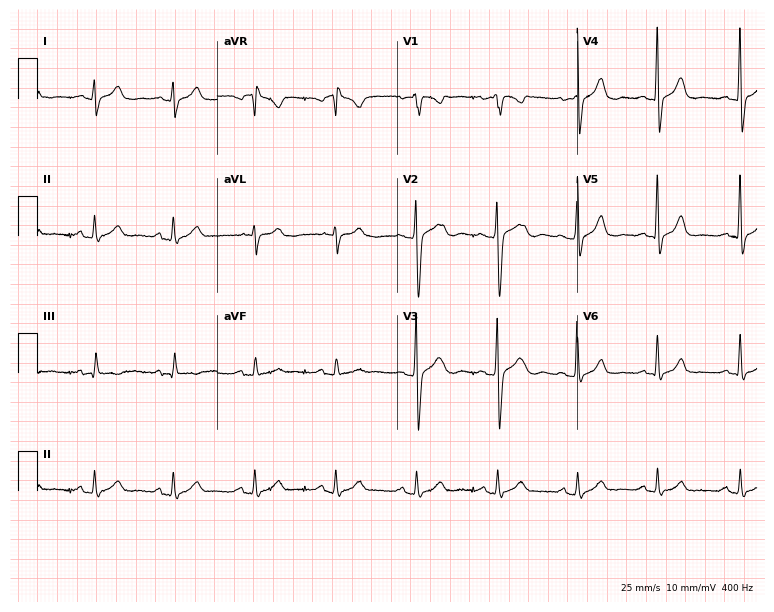
ECG — a male, 32 years old. Screened for six findings — first-degree AV block, right bundle branch block, left bundle branch block, sinus bradycardia, atrial fibrillation, sinus tachycardia — none is recorded.